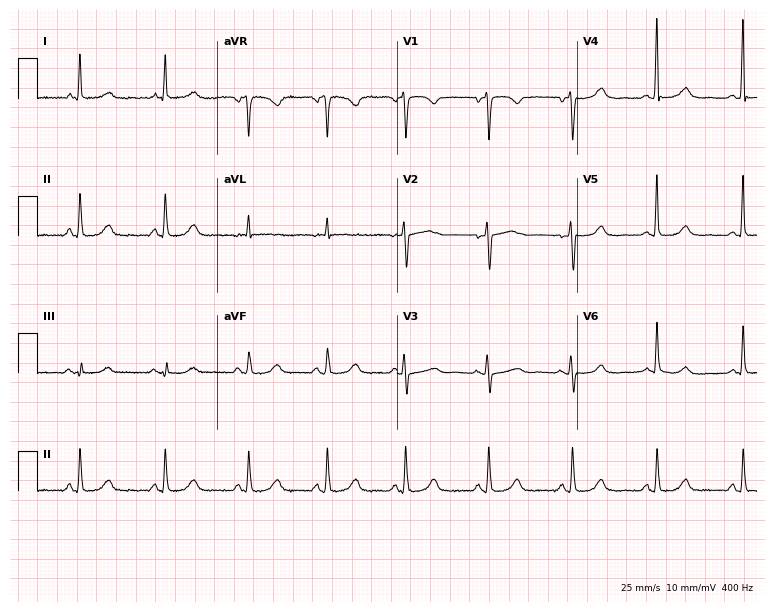
Electrocardiogram (7.3-second recording at 400 Hz), a 69-year-old woman. Of the six screened findings (first-degree AV block, right bundle branch block (RBBB), left bundle branch block (LBBB), sinus bradycardia, atrial fibrillation (AF), sinus tachycardia), none is recorded. Findings outside these six are not listed.